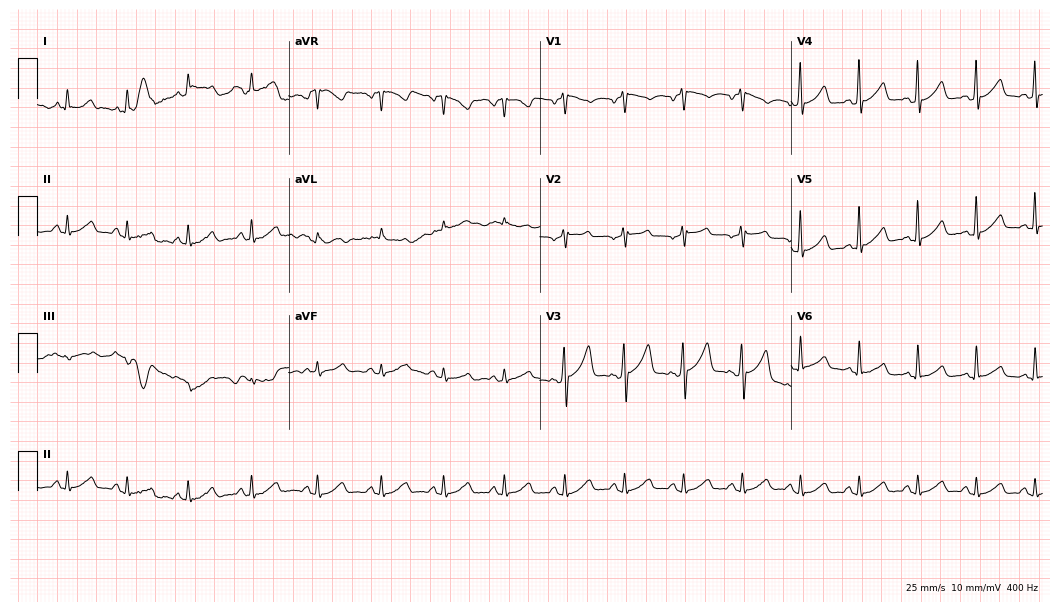
Electrocardiogram, a male, 53 years old. Of the six screened findings (first-degree AV block, right bundle branch block, left bundle branch block, sinus bradycardia, atrial fibrillation, sinus tachycardia), none is recorded. Only these six findings were labelled.